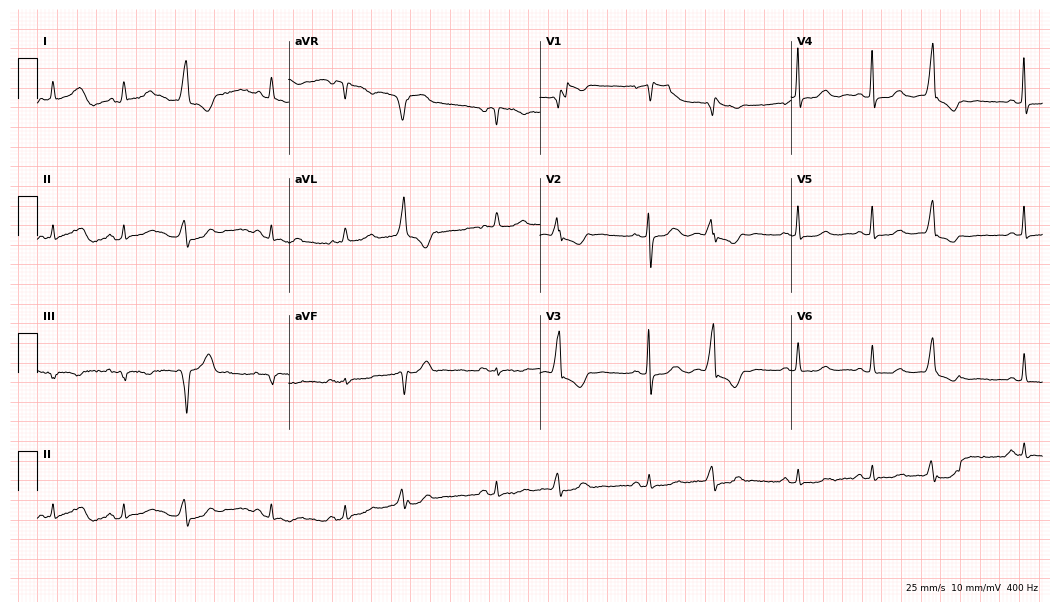
12-lead ECG from a female patient, 83 years old. No first-degree AV block, right bundle branch block, left bundle branch block, sinus bradycardia, atrial fibrillation or sinus tachycardia recorded for this tracing. Only these six findings were labelled.